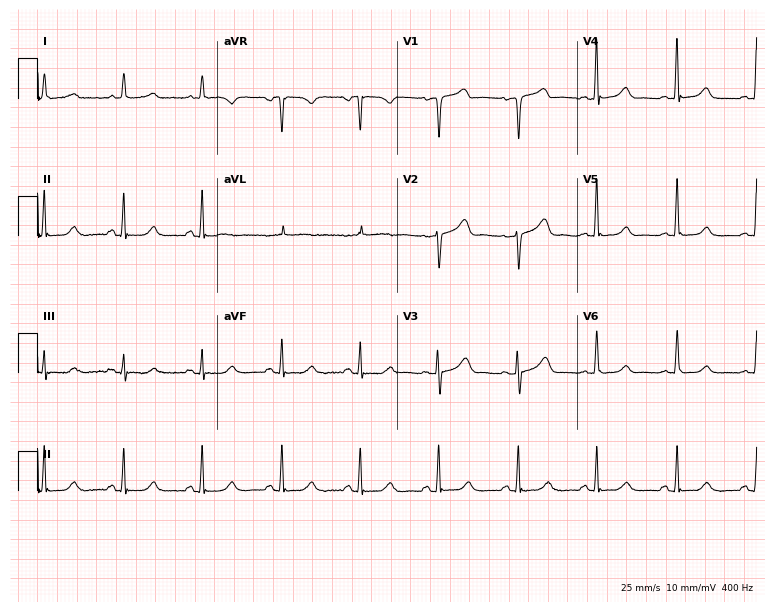
Electrocardiogram (7.3-second recording at 400 Hz), a 61-year-old woman. Overall reading on record: normal ECG.